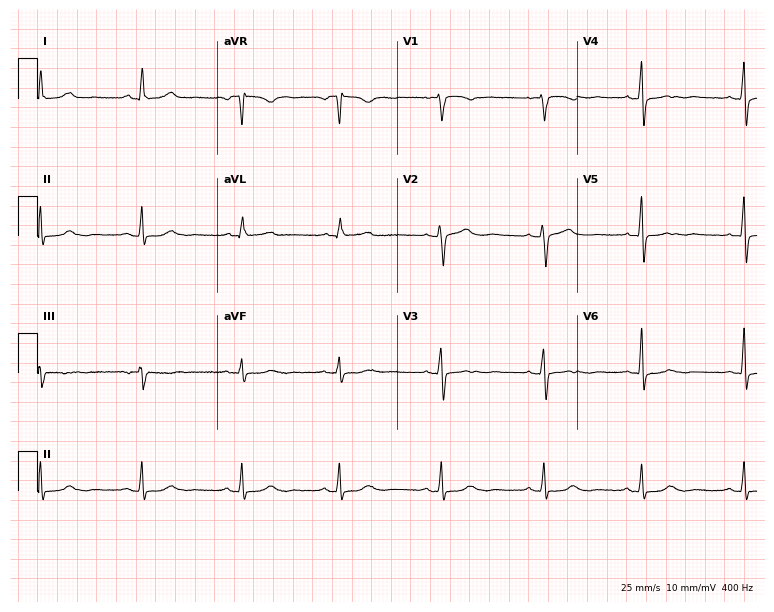
ECG (7.3-second recording at 400 Hz) — a 53-year-old female. Screened for six findings — first-degree AV block, right bundle branch block, left bundle branch block, sinus bradycardia, atrial fibrillation, sinus tachycardia — none is recorded.